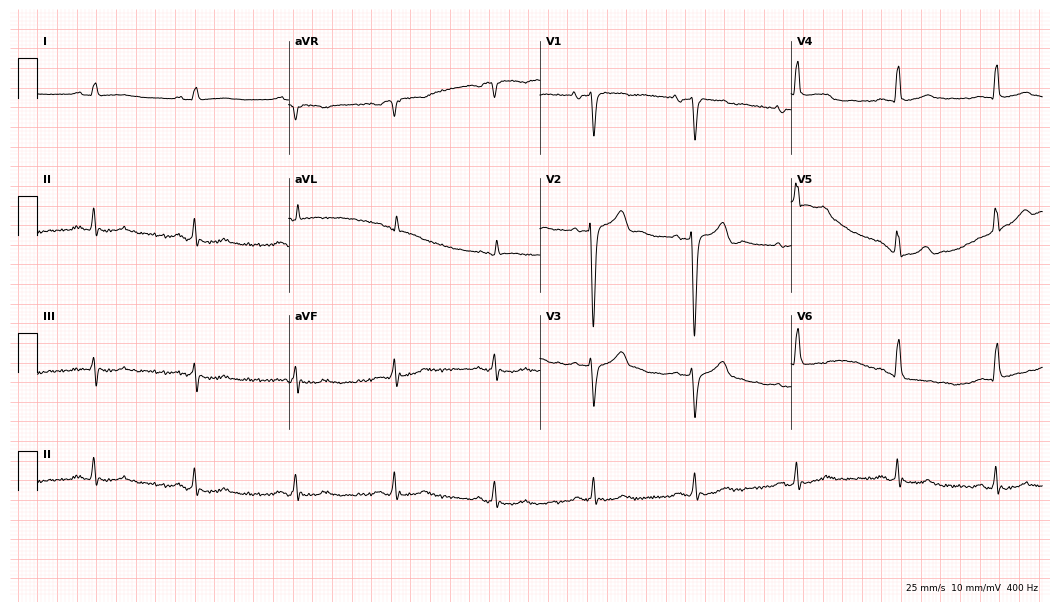
12-lead ECG (10.2-second recording at 400 Hz) from a 50-year-old man. Screened for six findings — first-degree AV block, right bundle branch block, left bundle branch block, sinus bradycardia, atrial fibrillation, sinus tachycardia — none is recorded. Findings outside these six are not listed.